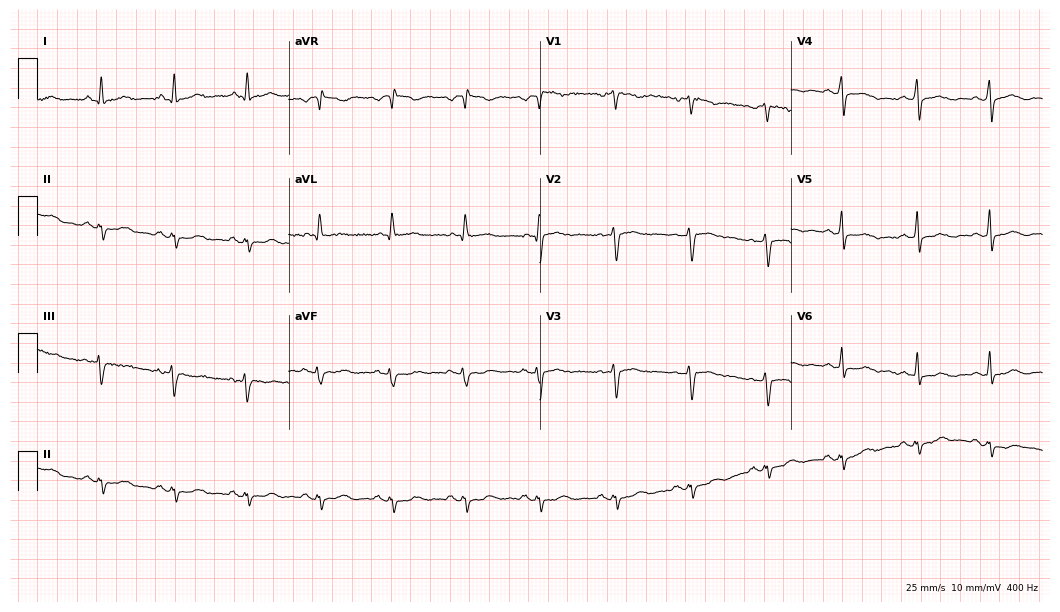
Electrocardiogram, a 51-year-old female patient. Of the six screened findings (first-degree AV block, right bundle branch block, left bundle branch block, sinus bradycardia, atrial fibrillation, sinus tachycardia), none is recorded. Other findings, if any, are not listed.